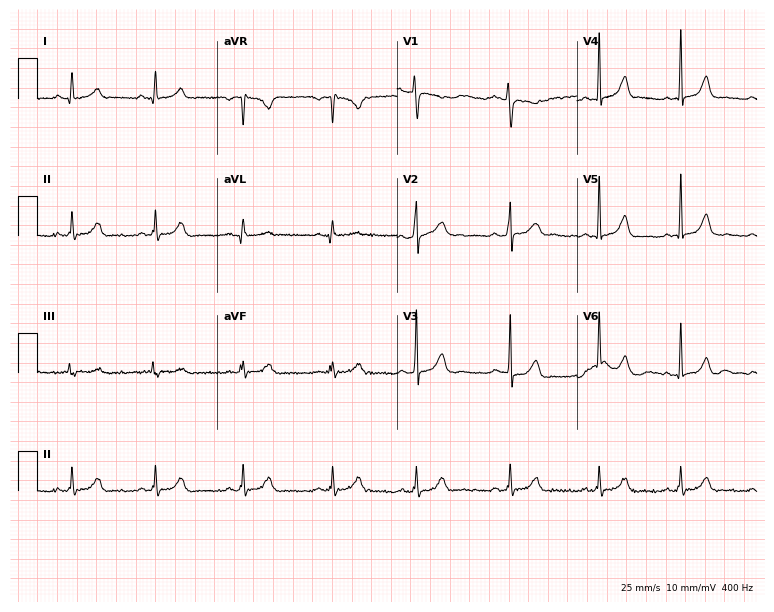
12-lead ECG from a female, 33 years old. Labelled as a normal ECG.